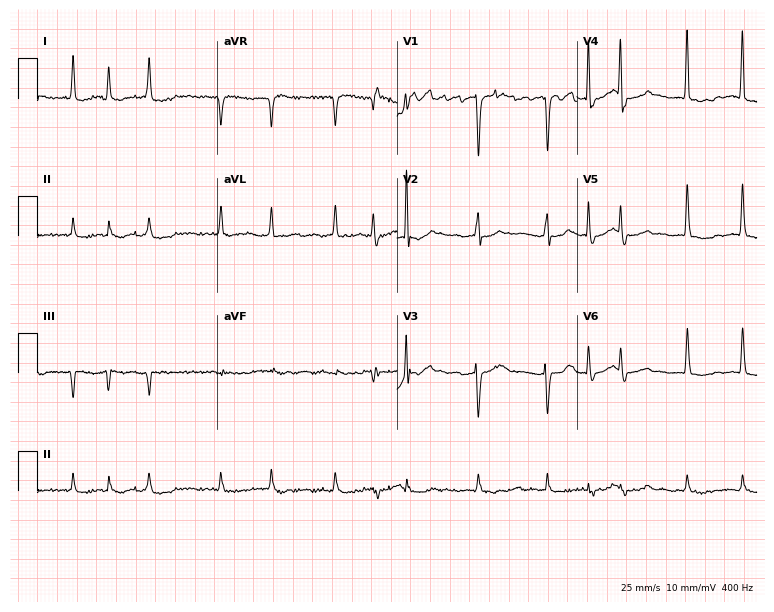
12-lead ECG from an 81-year-old female patient. Findings include atrial fibrillation.